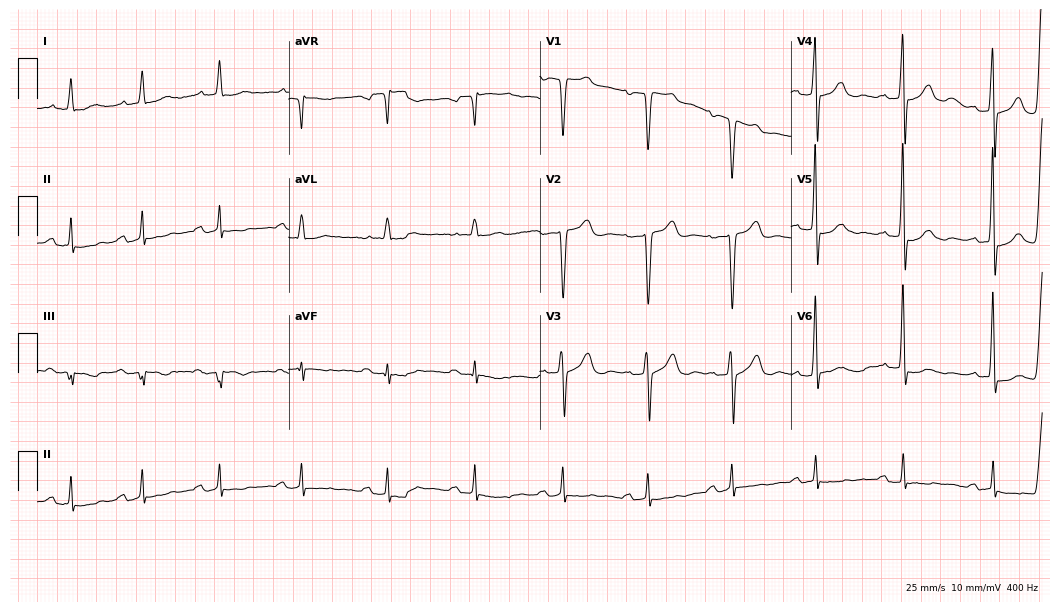
12-lead ECG from a 74-year-old man. Screened for six findings — first-degree AV block, right bundle branch block, left bundle branch block, sinus bradycardia, atrial fibrillation, sinus tachycardia — none is recorded.